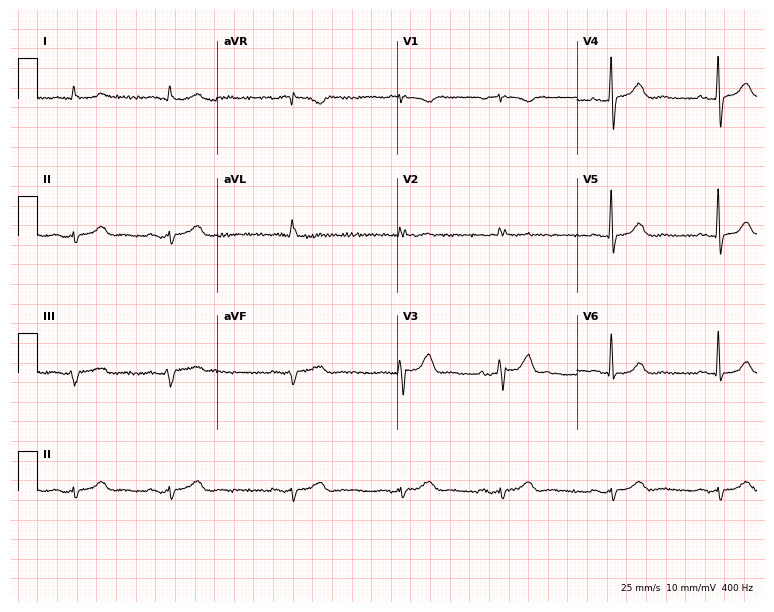
Electrocardiogram (7.3-second recording at 400 Hz), a 70-year-old male patient. Of the six screened findings (first-degree AV block, right bundle branch block (RBBB), left bundle branch block (LBBB), sinus bradycardia, atrial fibrillation (AF), sinus tachycardia), none is recorded.